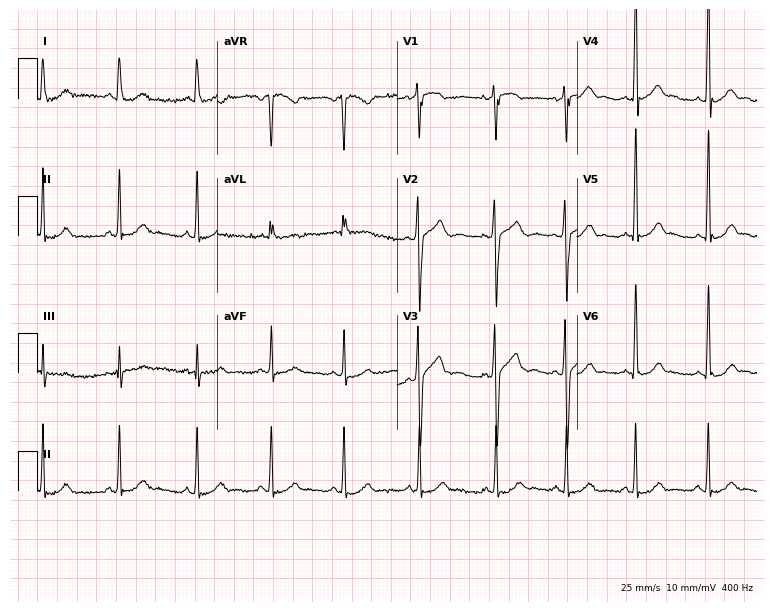
Electrocardiogram, a 17-year-old male. Overall reading on record: normal ECG.